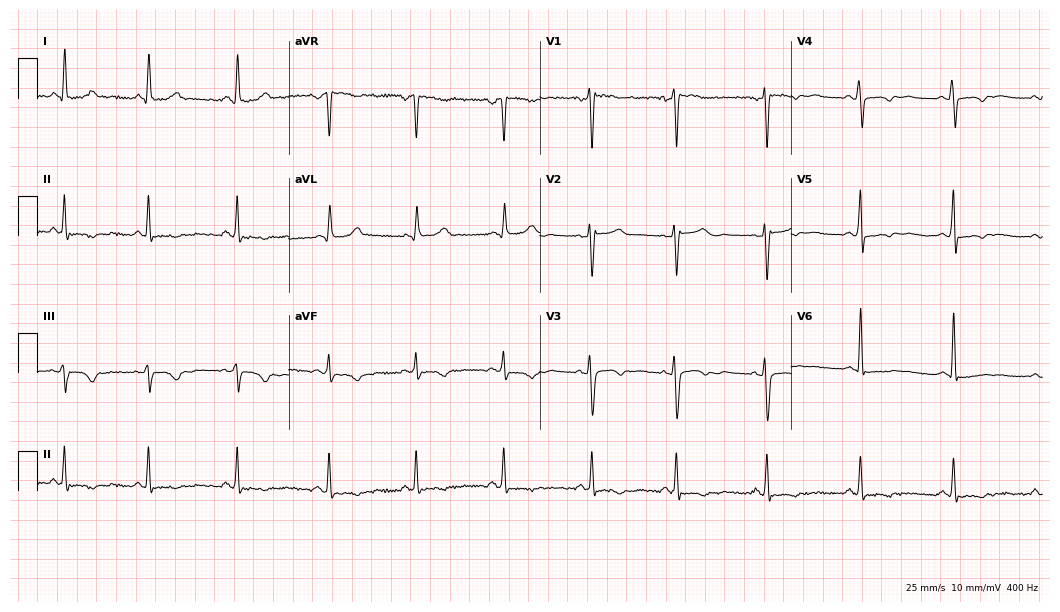
ECG (10.2-second recording at 400 Hz) — a 35-year-old woman. Screened for six findings — first-degree AV block, right bundle branch block, left bundle branch block, sinus bradycardia, atrial fibrillation, sinus tachycardia — none is recorded.